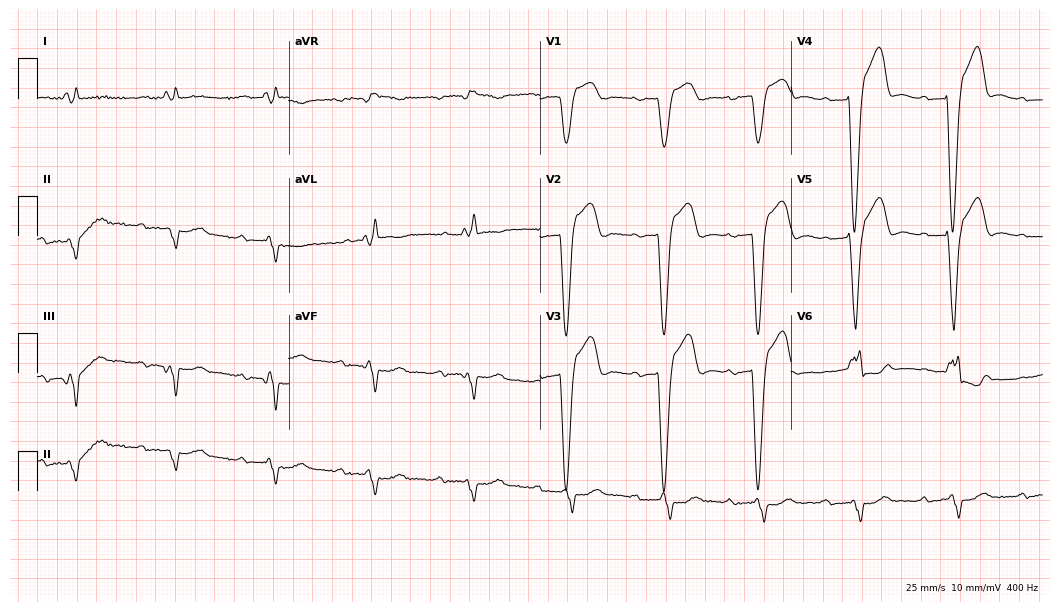
12-lead ECG from a 78-year-old female patient. Findings include first-degree AV block, left bundle branch block.